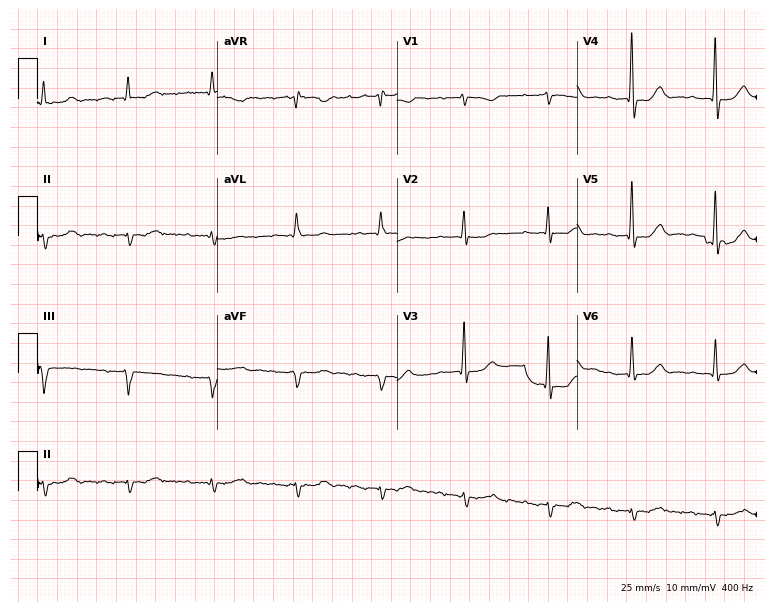
12-lead ECG from an 83-year-old female patient. No first-degree AV block, right bundle branch block, left bundle branch block, sinus bradycardia, atrial fibrillation or sinus tachycardia recorded for this tracing.